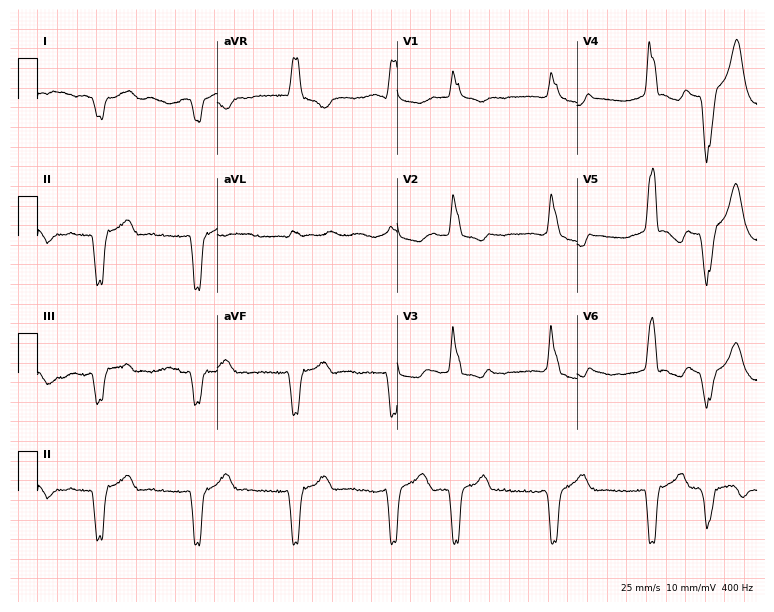
12-lead ECG from a man, 68 years old (7.3-second recording at 400 Hz). No first-degree AV block, right bundle branch block, left bundle branch block, sinus bradycardia, atrial fibrillation or sinus tachycardia recorded for this tracing. Only these six findings were labelled.